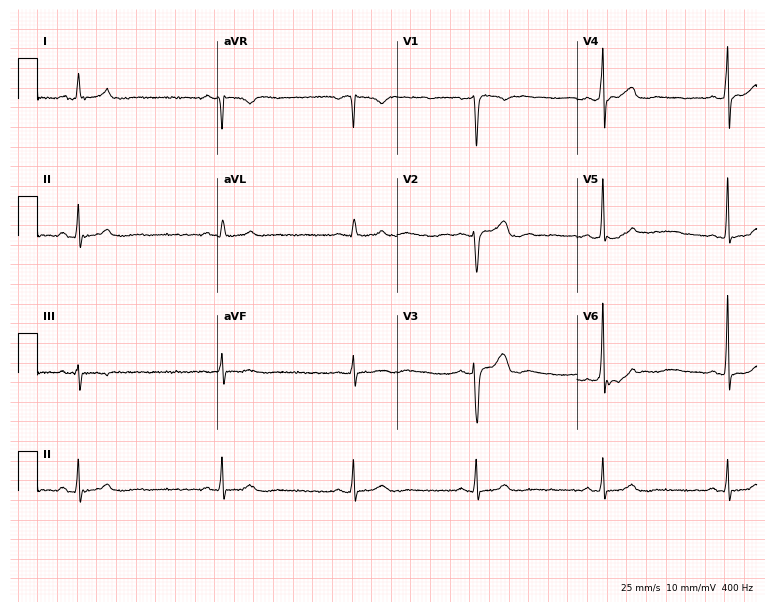
12-lead ECG from a 36-year-old female patient (7.3-second recording at 400 Hz). Shows sinus bradycardia (a sinus rate of 50 beats per minute or less).